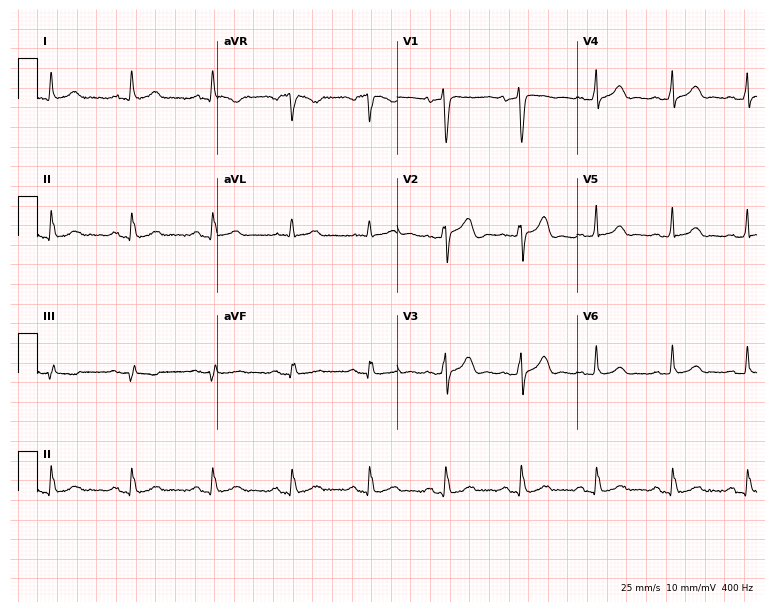
ECG — a man, 59 years old. Labelled as a normal ECG.